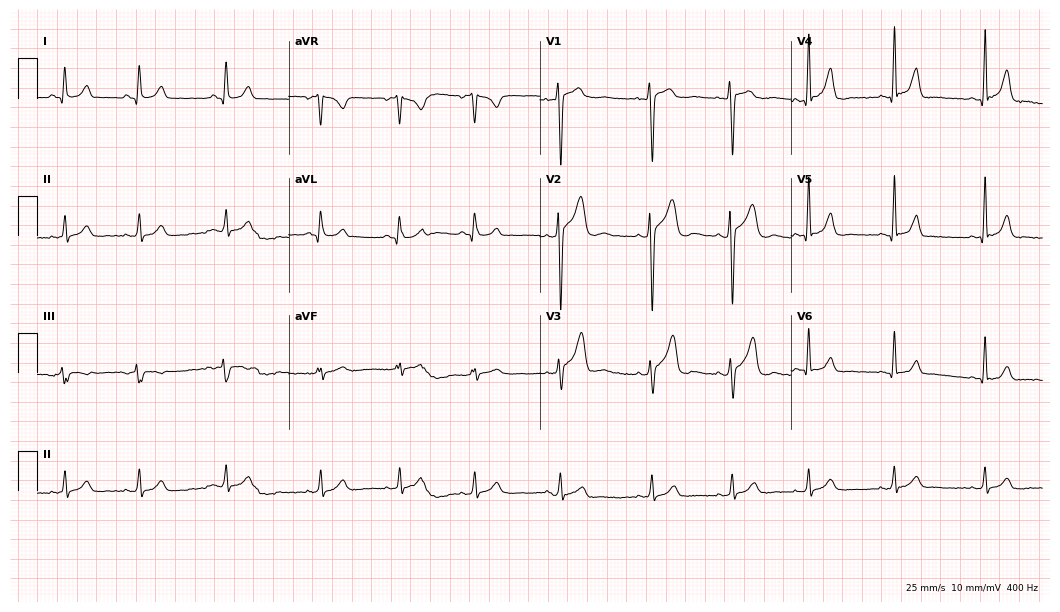
Electrocardiogram (10.2-second recording at 400 Hz), a male, 18 years old. Overall reading on record: normal ECG.